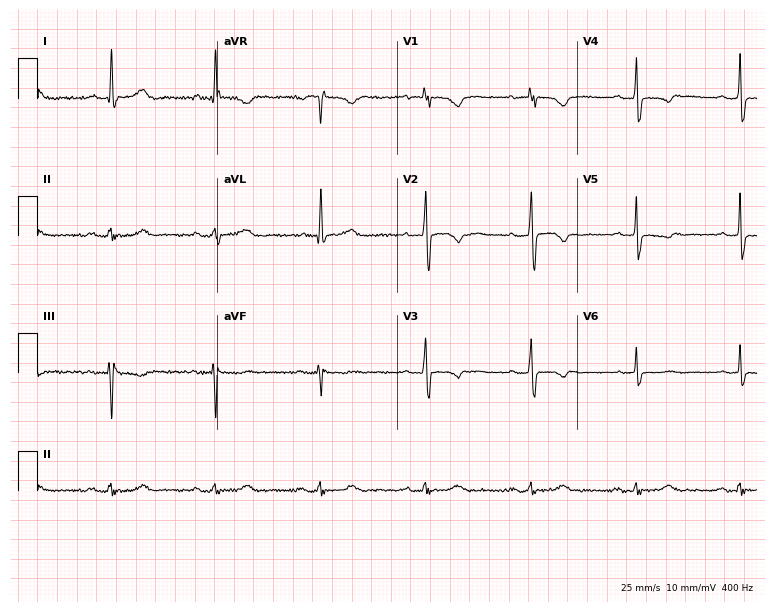
12-lead ECG from a male, 79 years old (7.3-second recording at 400 Hz). Shows first-degree AV block.